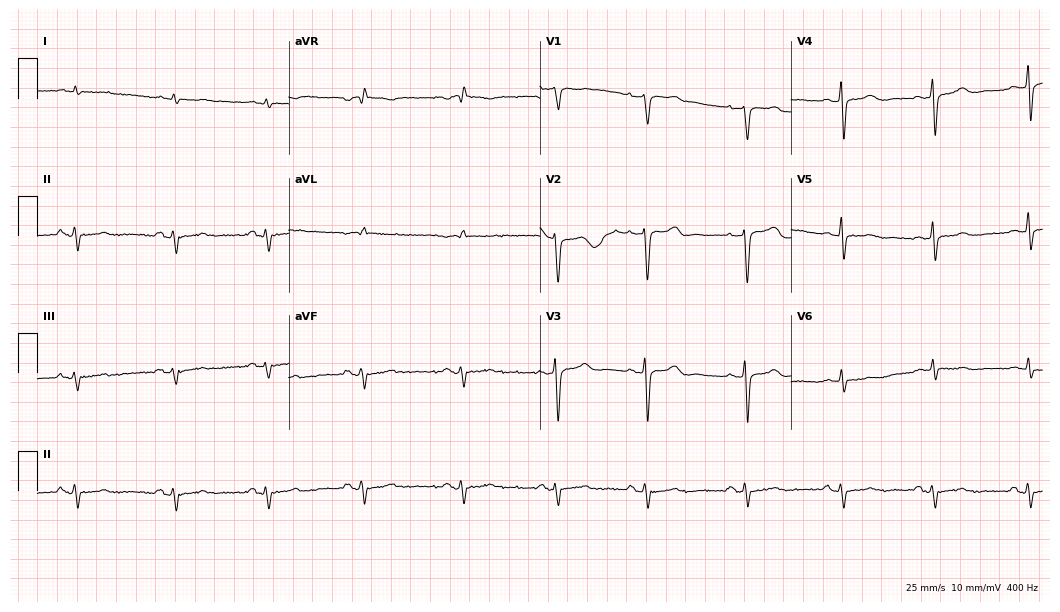
Electrocardiogram (10.2-second recording at 400 Hz), a male, 71 years old. Of the six screened findings (first-degree AV block, right bundle branch block (RBBB), left bundle branch block (LBBB), sinus bradycardia, atrial fibrillation (AF), sinus tachycardia), none is recorded.